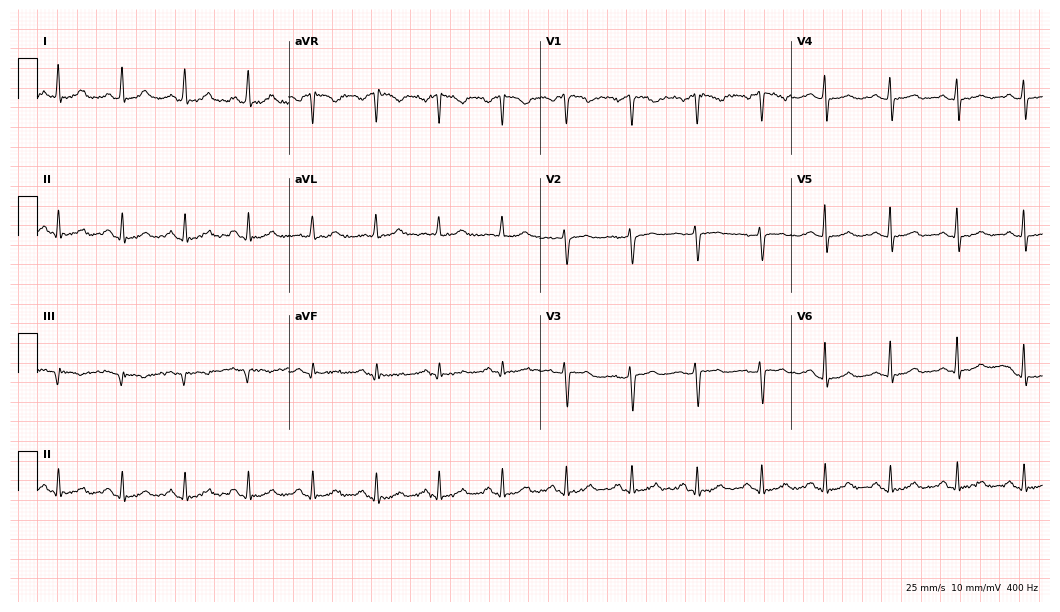
ECG — a 41-year-old female. Screened for six findings — first-degree AV block, right bundle branch block (RBBB), left bundle branch block (LBBB), sinus bradycardia, atrial fibrillation (AF), sinus tachycardia — none is recorded.